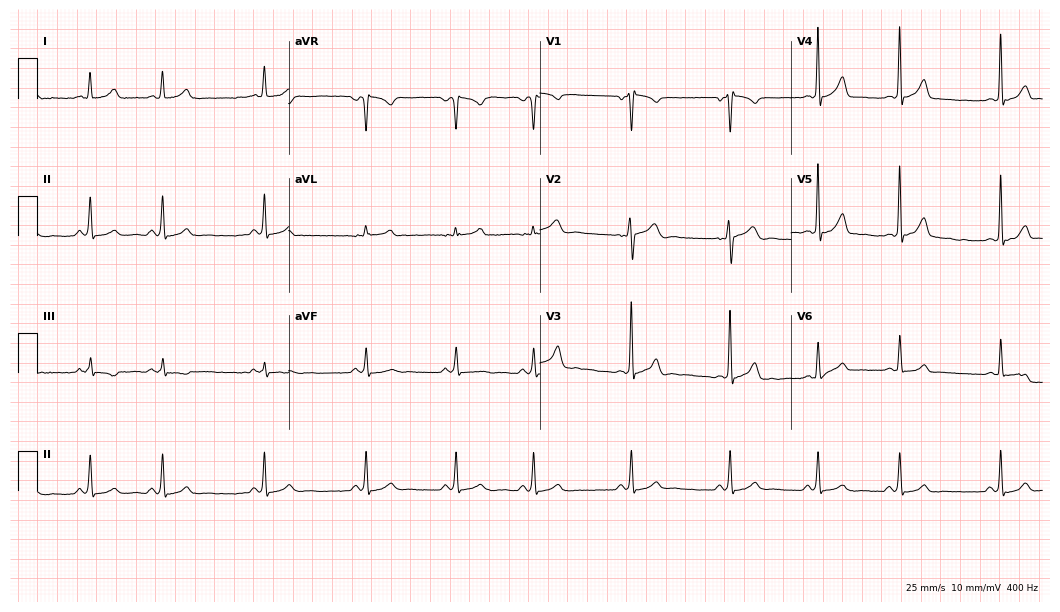
12-lead ECG from a male patient, 17 years old. Labelled as a normal ECG.